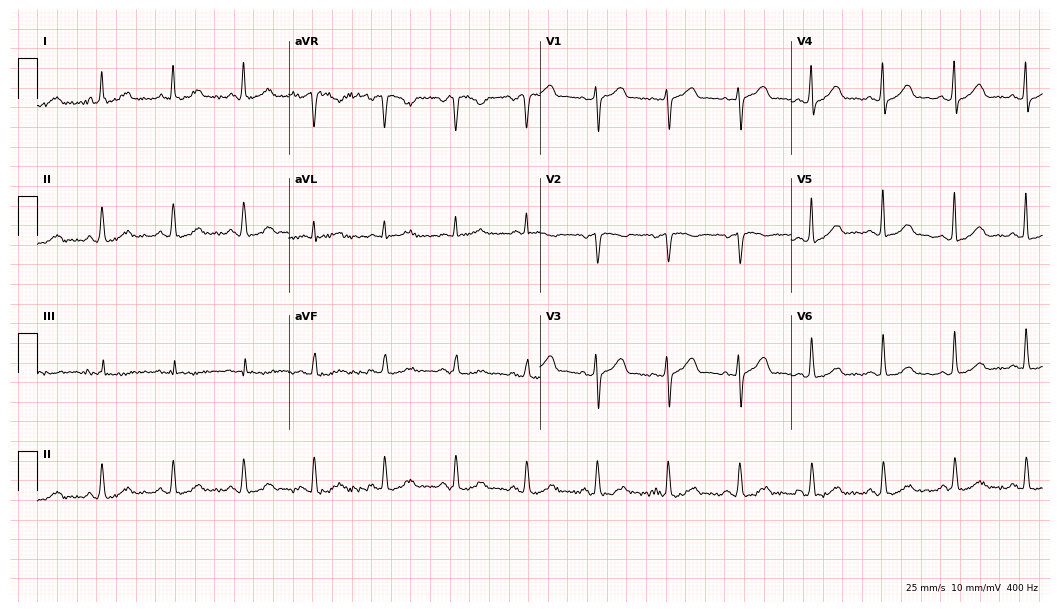
12-lead ECG from a male patient, 71 years old. Labelled as a normal ECG.